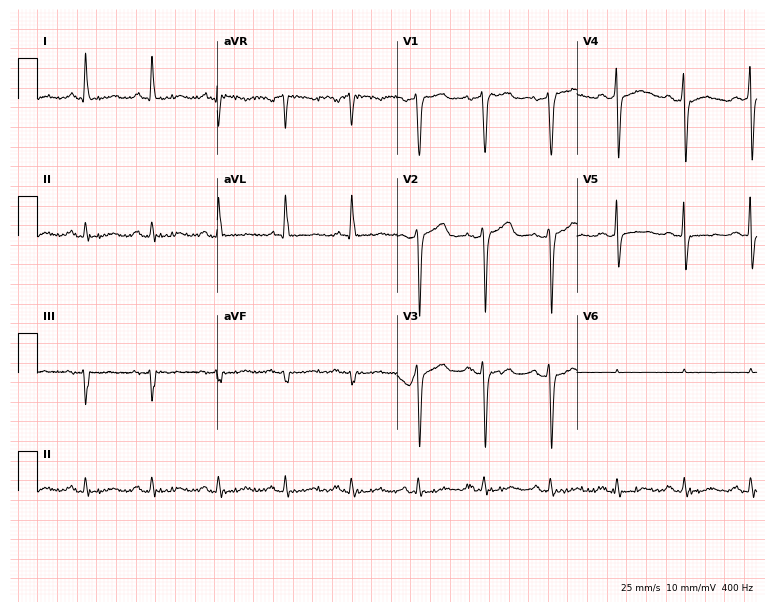
Electrocardiogram (7.3-second recording at 400 Hz), a 73-year-old woman. Of the six screened findings (first-degree AV block, right bundle branch block, left bundle branch block, sinus bradycardia, atrial fibrillation, sinus tachycardia), none is recorded. Other findings, if any, are not listed.